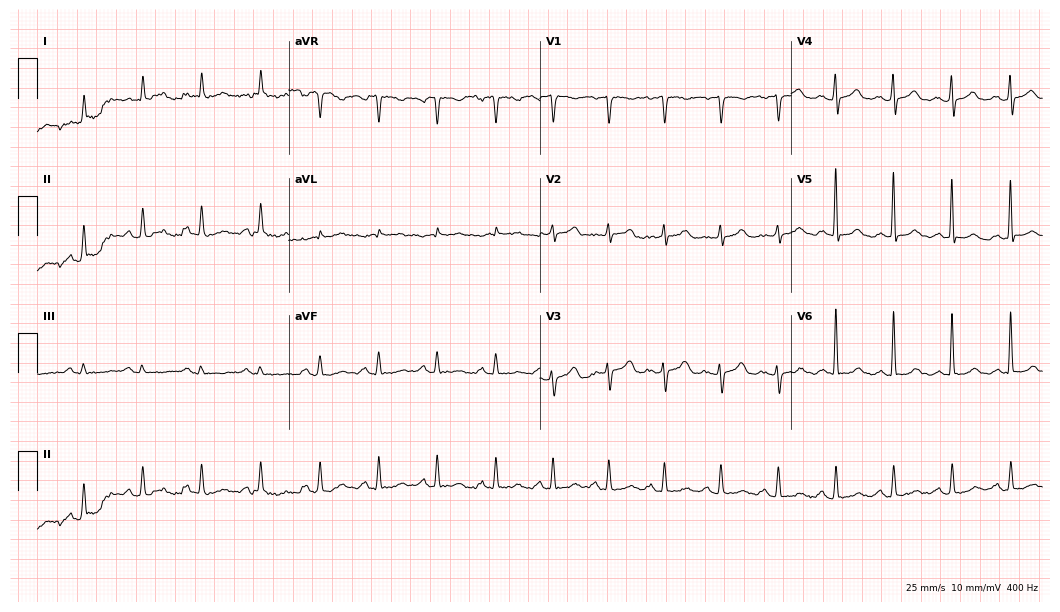
12-lead ECG from a 55-year-old female. Labelled as a normal ECG.